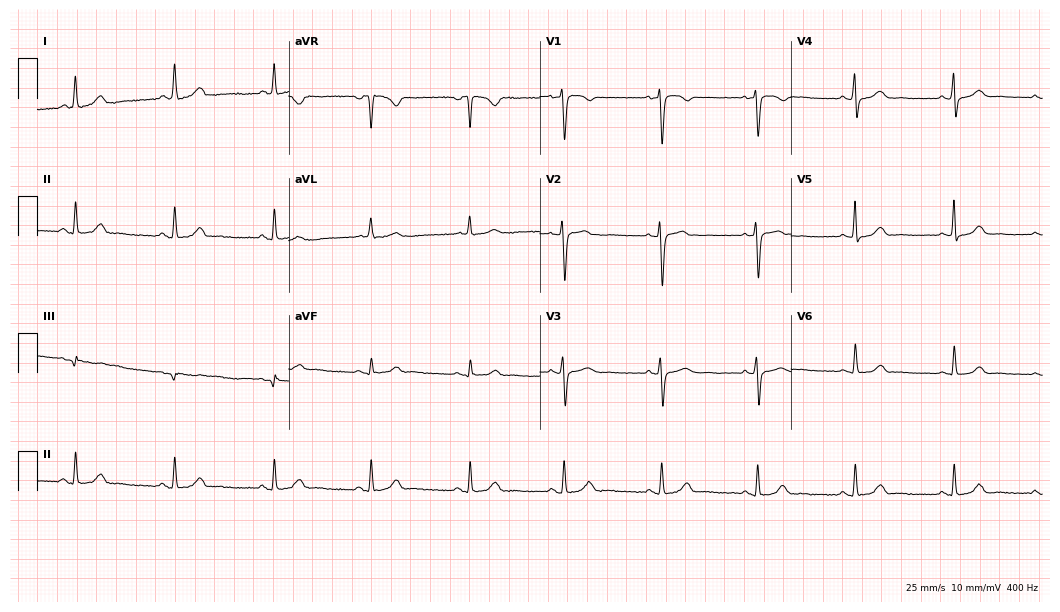
Standard 12-lead ECG recorded from a 46-year-old woman (10.2-second recording at 400 Hz). Read as a normal ECG.